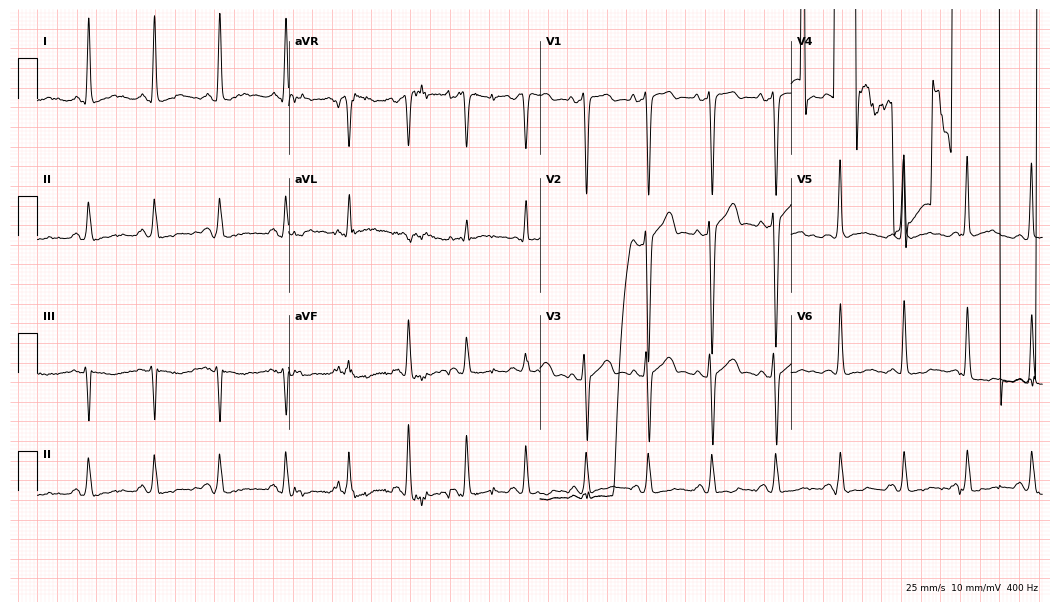
Standard 12-lead ECG recorded from a male patient, 41 years old. None of these six findings is recorded: first-degree AV block, right bundle branch block, left bundle branch block, sinus bradycardia, atrial fibrillation, sinus tachycardia. Findings outside these six are not listed.